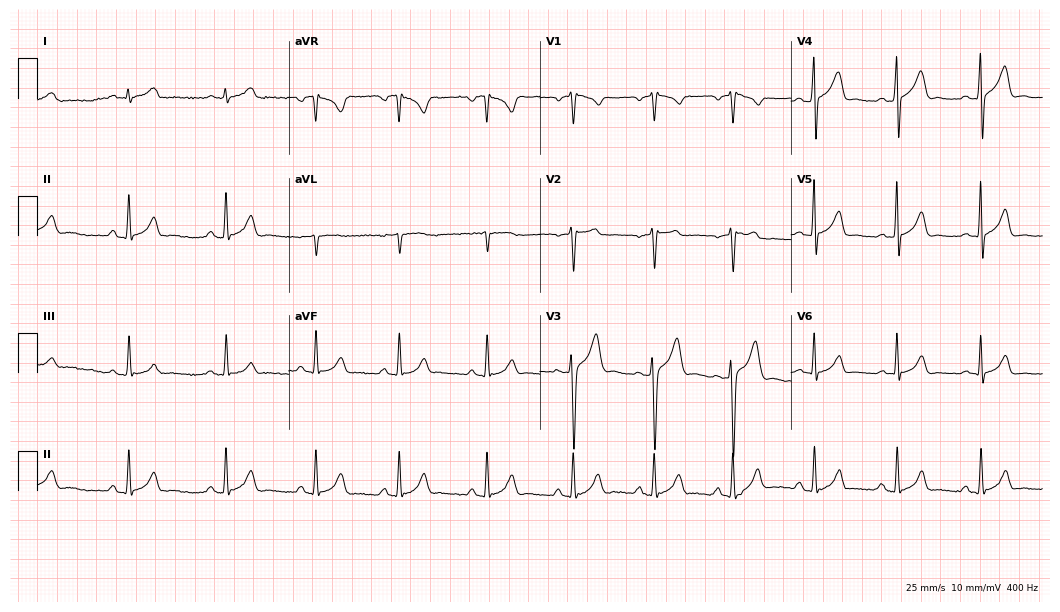
12-lead ECG from a male patient, 22 years old. Recorded interpretation: within normal limits.